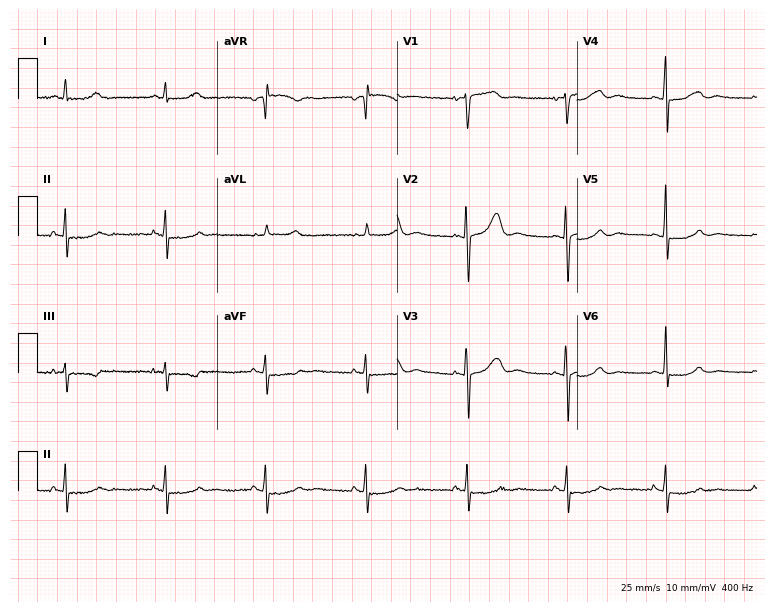
Electrocardiogram (7.3-second recording at 400 Hz), a female, 54 years old. Of the six screened findings (first-degree AV block, right bundle branch block, left bundle branch block, sinus bradycardia, atrial fibrillation, sinus tachycardia), none is recorded. Only these six findings were labelled.